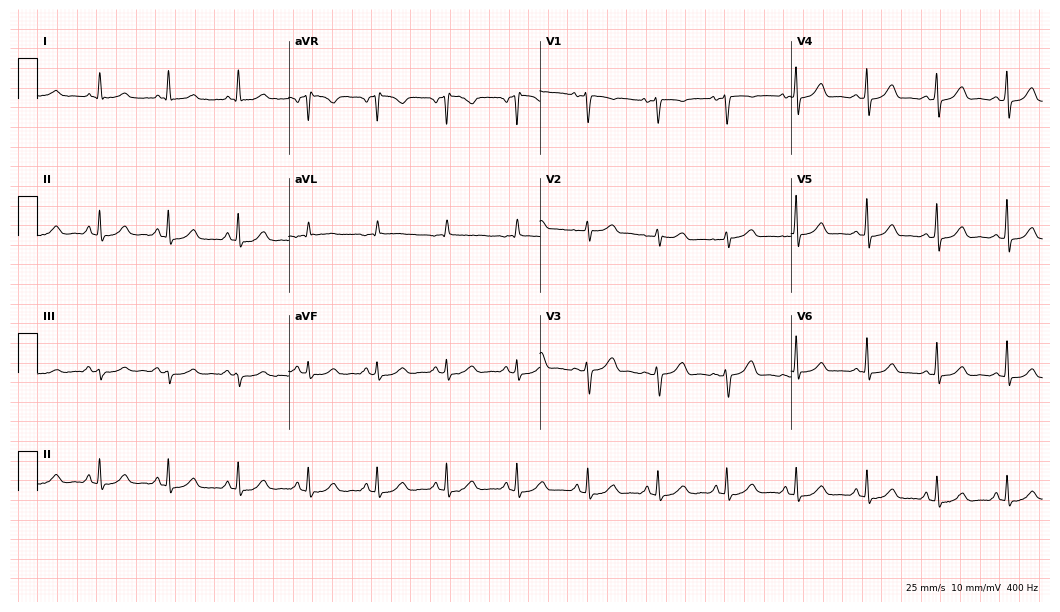
Resting 12-lead electrocardiogram. Patient: a 47-year-old female. Read as a normal ECG.